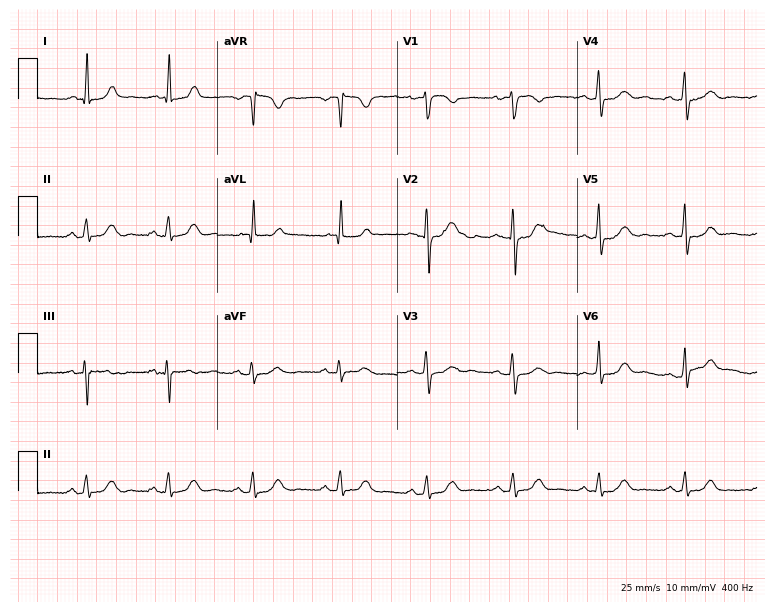
12-lead ECG from a 57-year-old female (7.3-second recording at 400 Hz). Recorded interpretation: within normal limits.